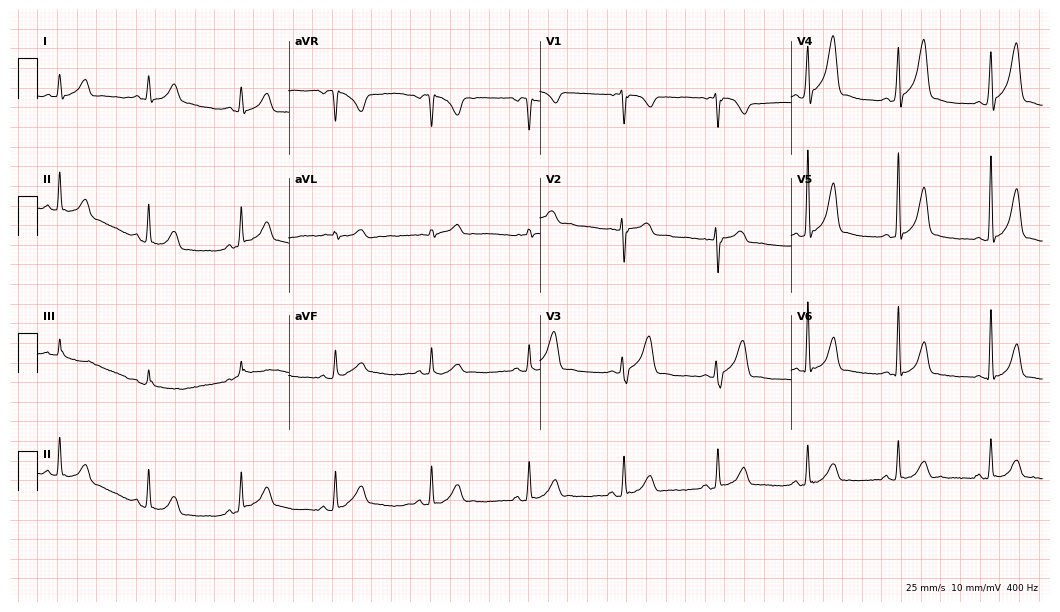
Standard 12-lead ECG recorded from a man, 42 years old. Read as a normal ECG.